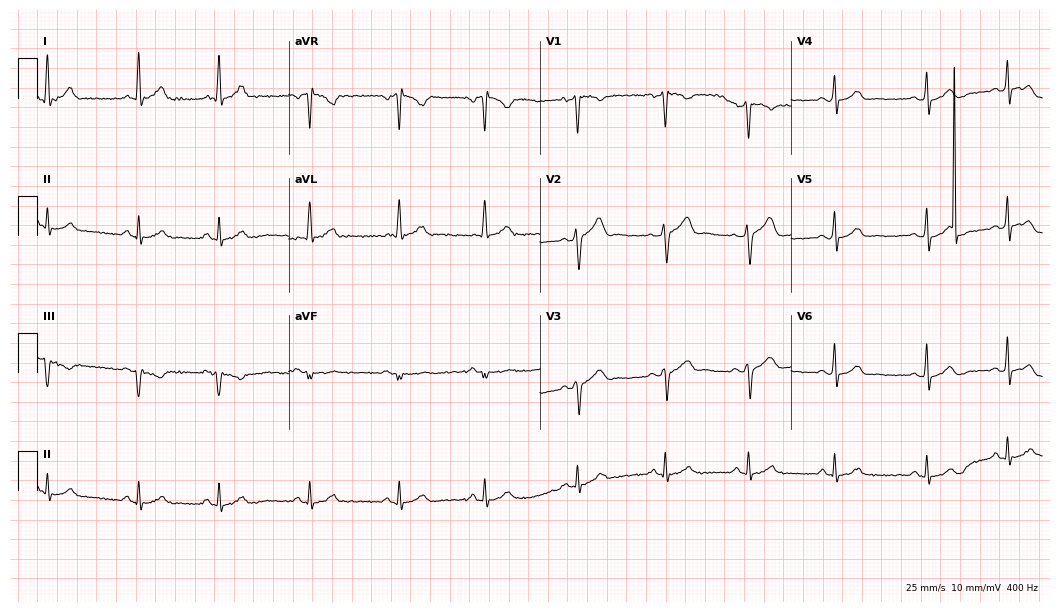
12-lead ECG from a male patient, 32 years old (10.2-second recording at 400 Hz). Recorded interpretation: within normal limits.